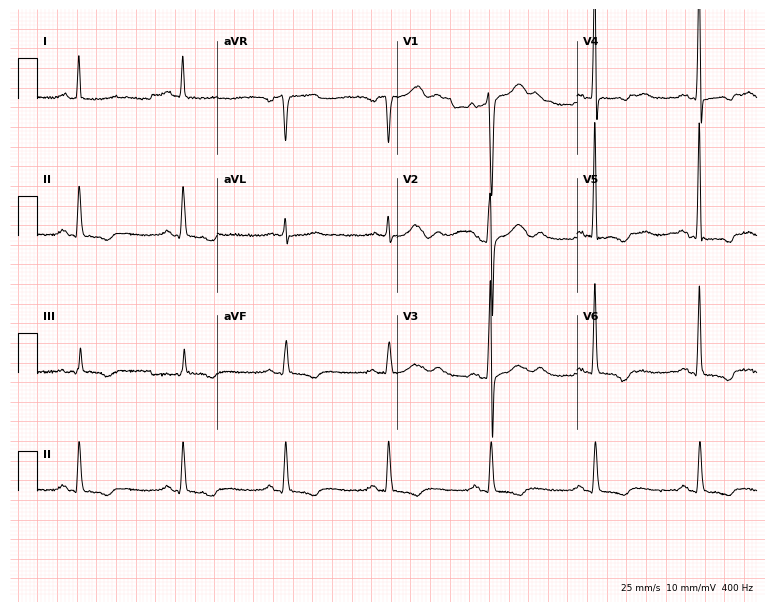
Standard 12-lead ECG recorded from a 57-year-old male. None of these six findings is recorded: first-degree AV block, right bundle branch block (RBBB), left bundle branch block (LBBB), sinus bradycardia, atrial fibrillation (AF), sinus tachycardia.